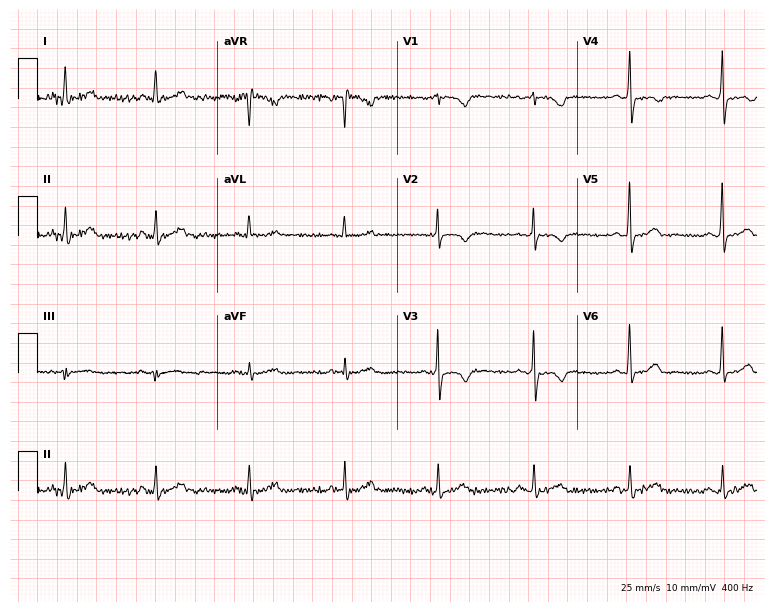
Resting 12-lead electrocardiogram (7.3-second recording at 400 Hz). Patient: a female, 60 years old. None of these six findings is recorded: first-degree AV block, right bundle branch block, left bundle branch block, sinus bradycardia, atrial fibrillation, sinus tachycardia.